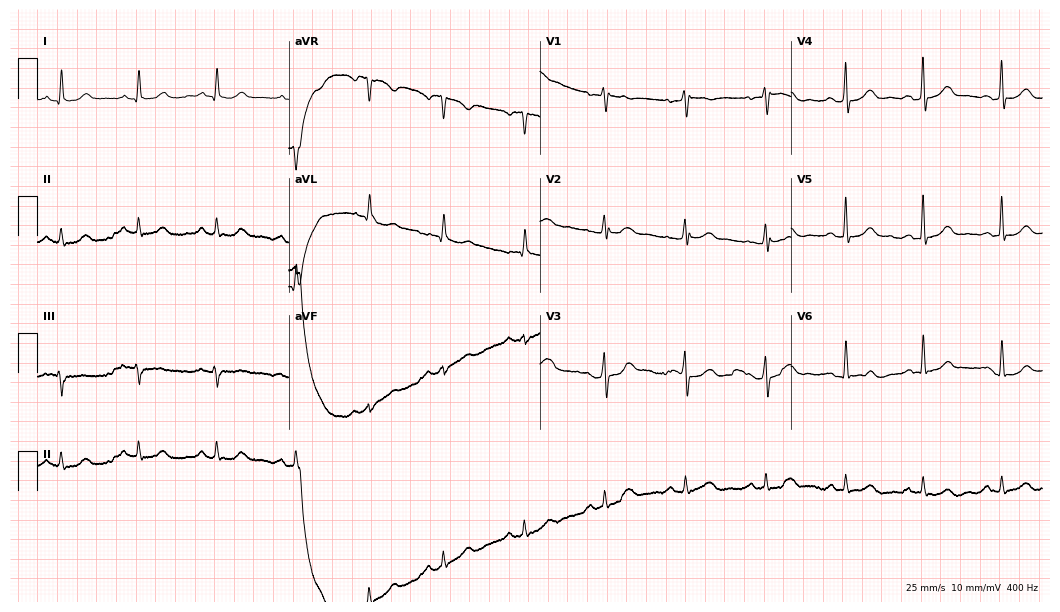
Electrocardiogram, a female, 51 years old. Overall reading on record: normal ECG.